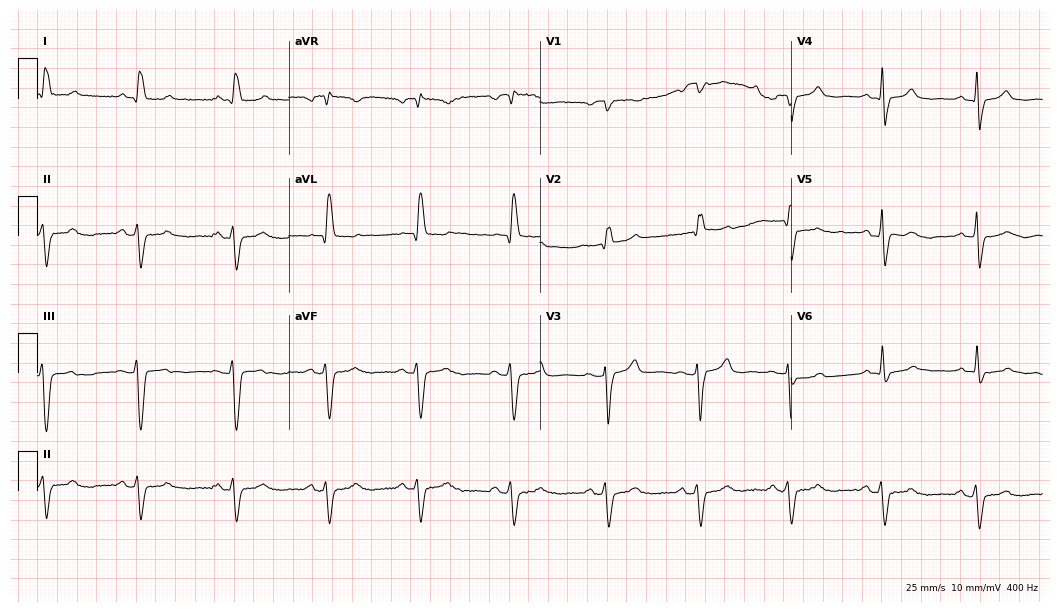
Electrocardiogram (10.2-second recording at 400 Hz), a woman, 86 years old. Of the six screened findings (first-degree AV block, right bundle branch block (RBBB), left bundle branch block (LBBB), sinus bradycardia, atrial fibrillation (AF), sinus tachycardia), none is recorded.